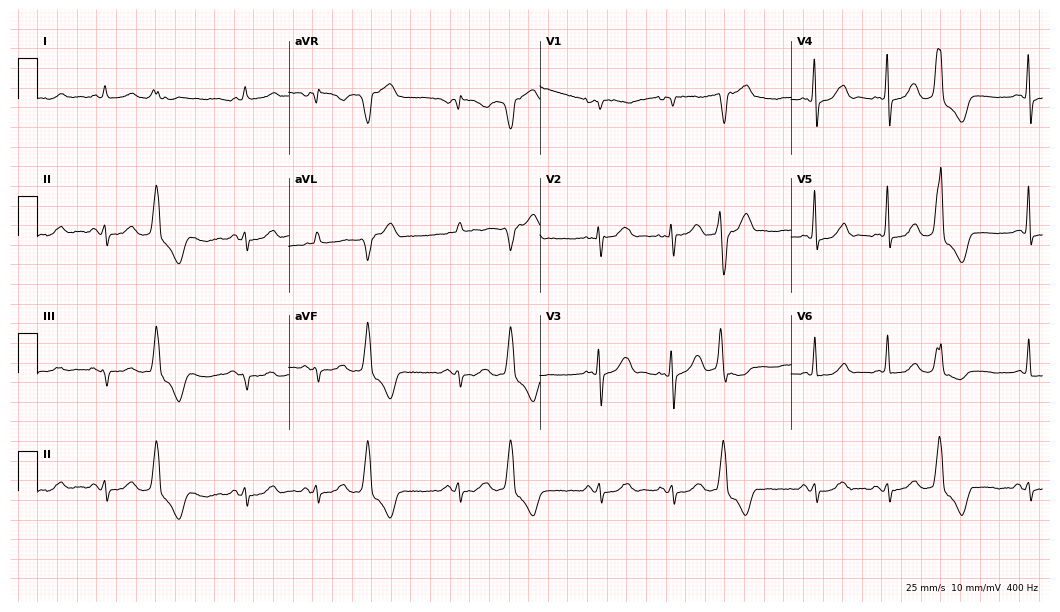
12-lead ECG from a man, 82 years old. No first-degree AV block, right bundle branch block, left bundle branch block, sinus bradycardia, atrial fibrillation or sinus tachycardia recorded for this tracing.